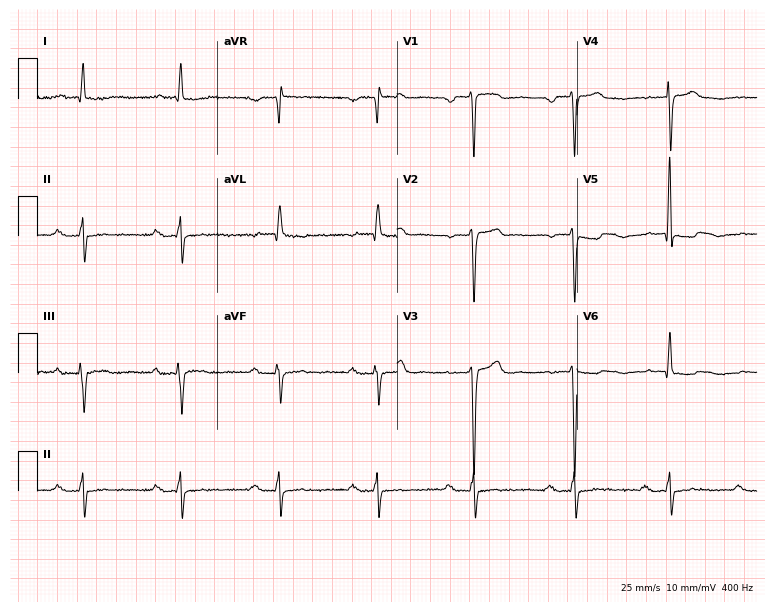
12-lead ECG (7.3-second recording at 400 Hz) from an 82-year-old male. Findings include first-degree AV block.